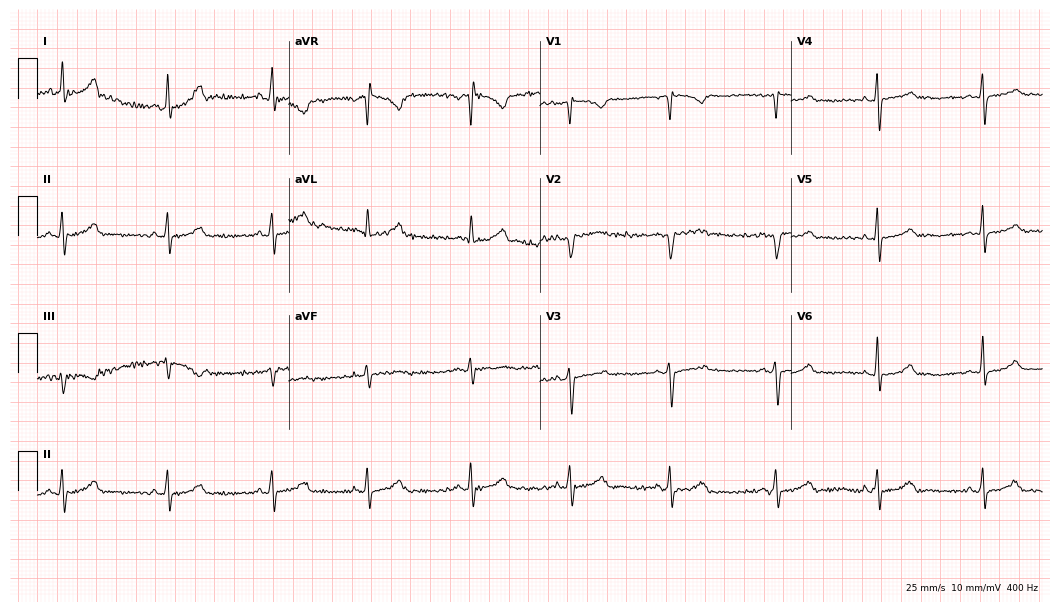
ECG (10.2-second recording at 400 Hz) — a female, 25 years old. Screened for six findings — first-degree AV block, right bundle branch block (RBBB), left bundle branch block (LBBB), sinus bradycardia, atrial fibrillation (AF), sinus tachycardia — none is recorded. Only these six findings were labelled.